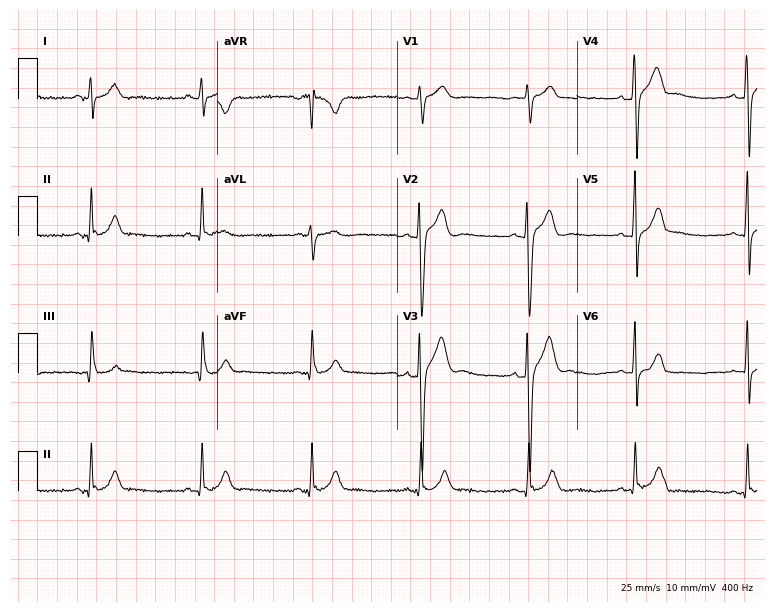
Resting 12-lead electrocardiogram. Patient: a man, 19 years old. Read as a normal ECG.